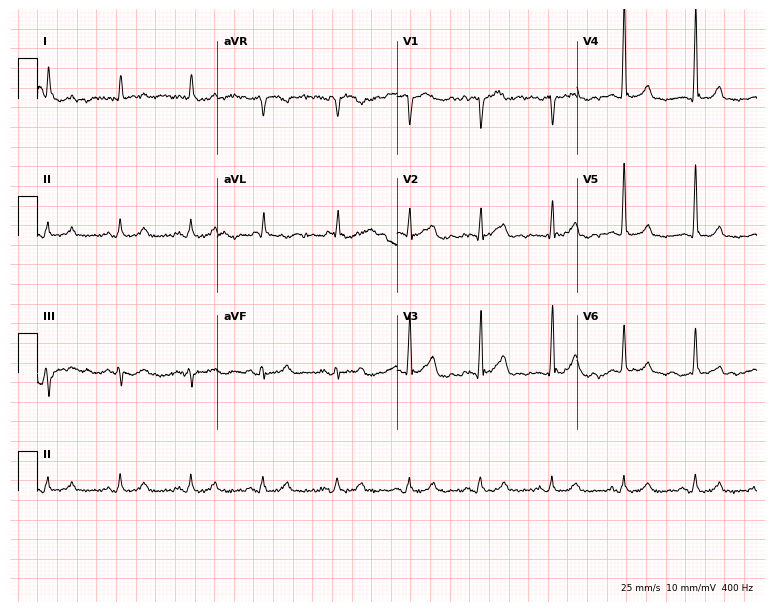
12-lead ECG from a woman, 57 years old (7.3-second recording at 400 Hz). Recorded interpretation: within normal limits.